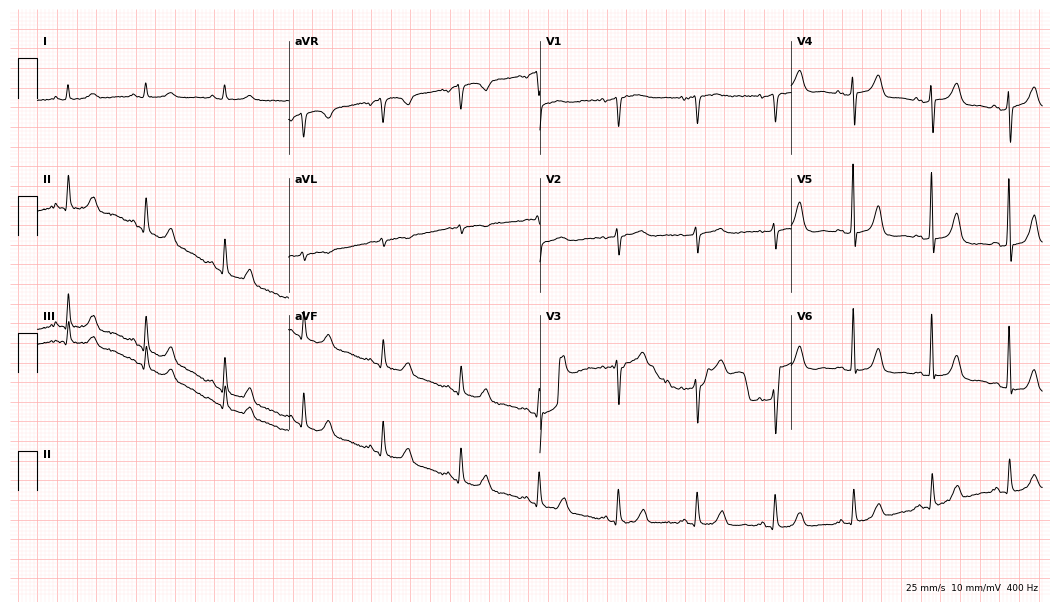
12-lead ECG (10.2-second recording at 400 Hz) from a 73-year-old female patient. Labelled as a normal ECG.